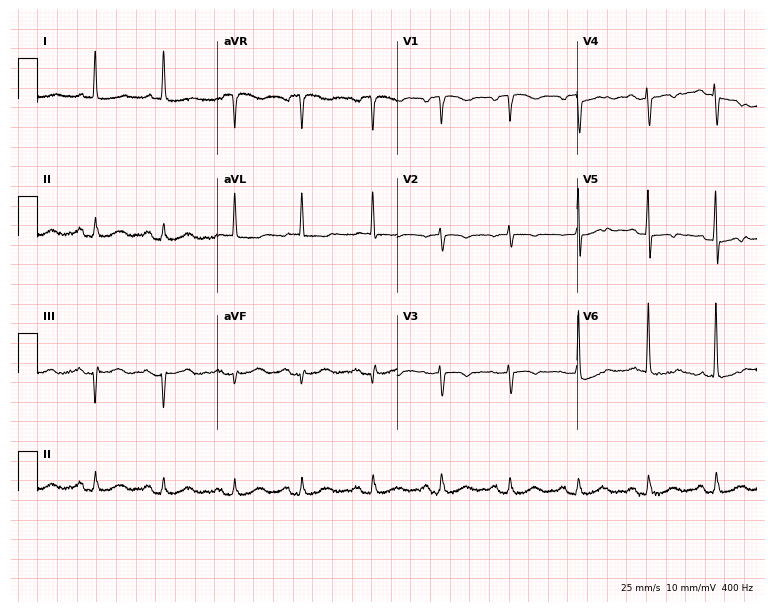
Electrocardiogram, an 85-year-old male patient. Of the six screened findings (first-degree AV block, right bundle branch block (RBBB), left bundle branch block (LBBB), sinus bradycardia, atrial fibrillation (AF), sinus tachycardia), none is recorded. Findings outside these six are not listed.